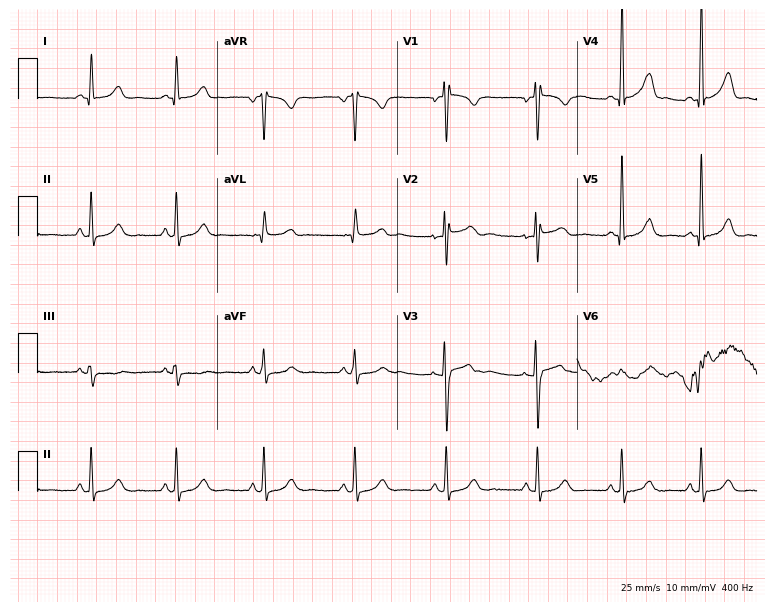
12-lead ECG (7.3-second recording at 400 Hz) from a female patient, 43 years old. Labelled as a normal ECG.